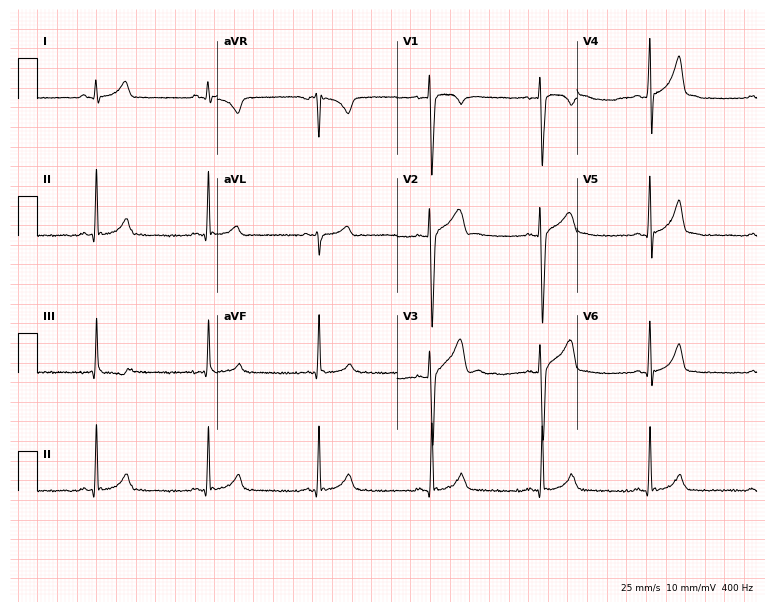
Standard 12-lead ECG recorded from a 23-year-old male patient. Read as a normal ECG.